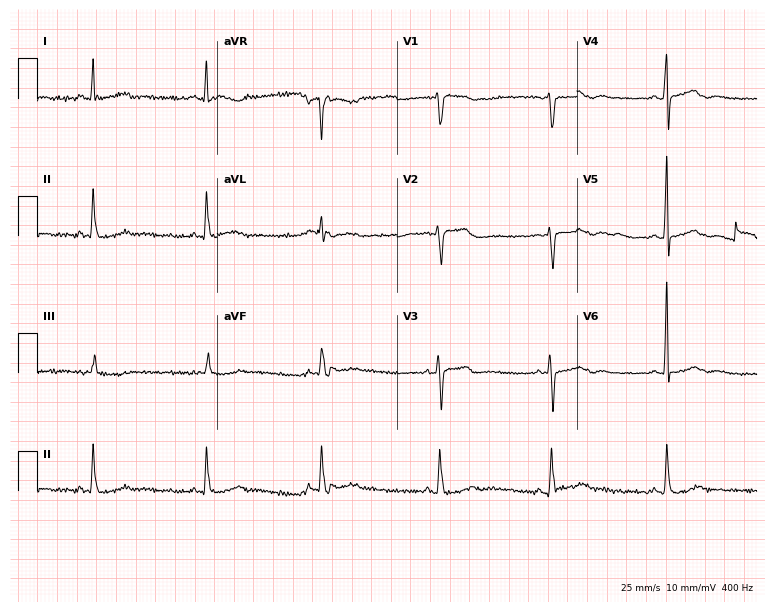
Resting 12-lead electrocardiogram. Patient: a 58-year-old female. None of these six findings is recorded: first-degree AV block, right bundle branch block (RBBB), left bundle branch block (LBBB), sinus bradycardia, atrial fibrillation (AF), sinus tachycardia. Findings outside these six are not listed.